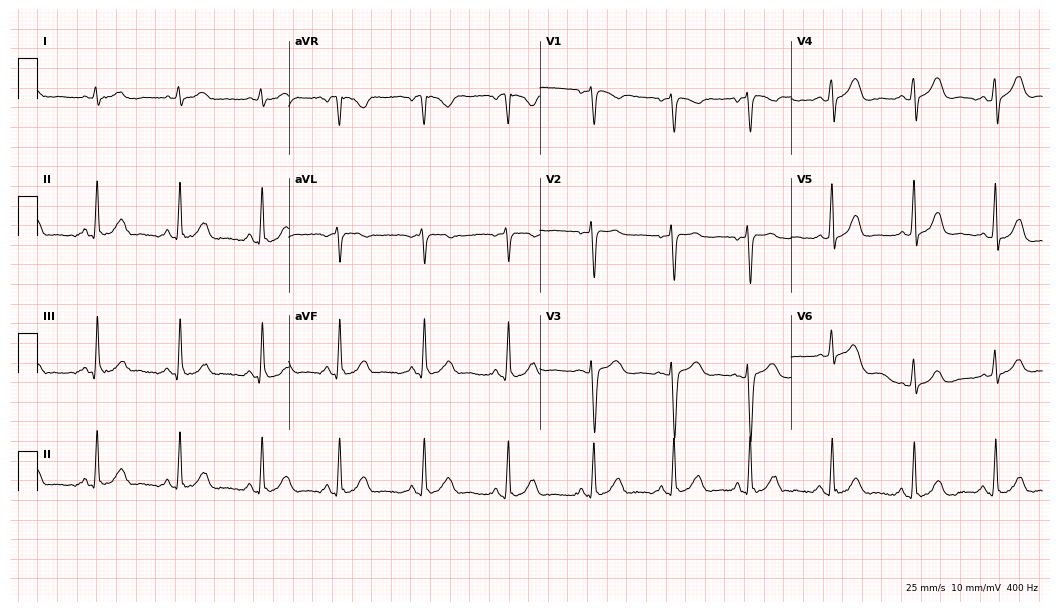
Electrocardiogram (10.2-second recording at 400 Hz), a 39-year-old woman. Overall reading on record: normal ECG.